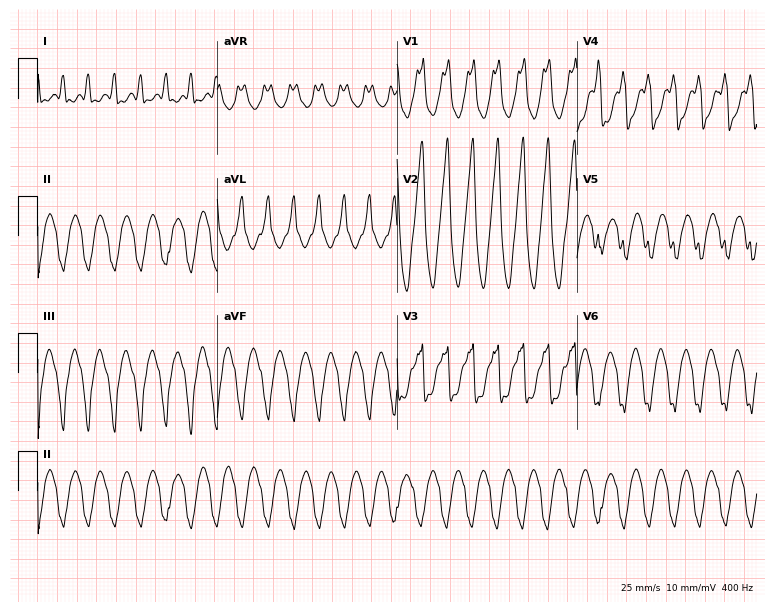
Resting 12-lead electrocardiogram. Patient: a man, 49 years old. None of these six findings is recorded: first-degree AV block, right bundle branch block, left bundle branch block, sinus bradycardia, atrial fibrillation, sinus tachycardia.